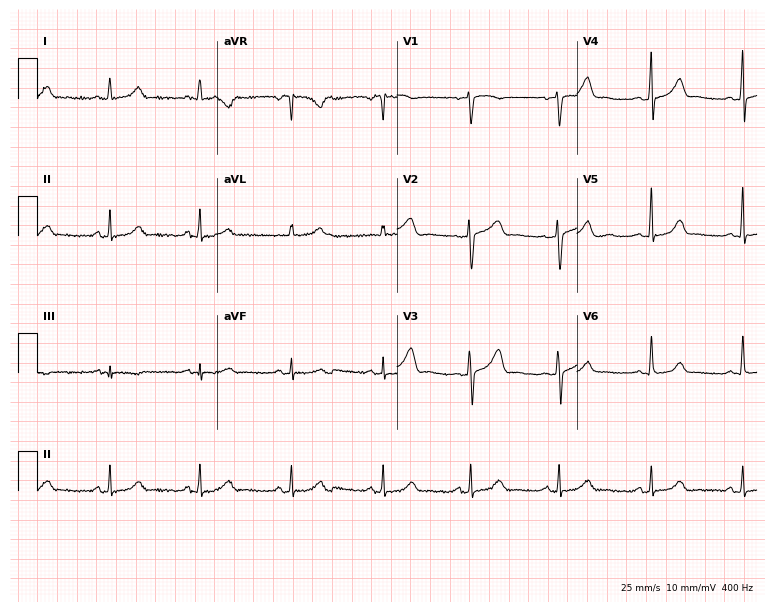
Electrocardiogram (7.3-second recording at 400 Hz), a 52-year-old female. Overall reading on record: normal ECG.